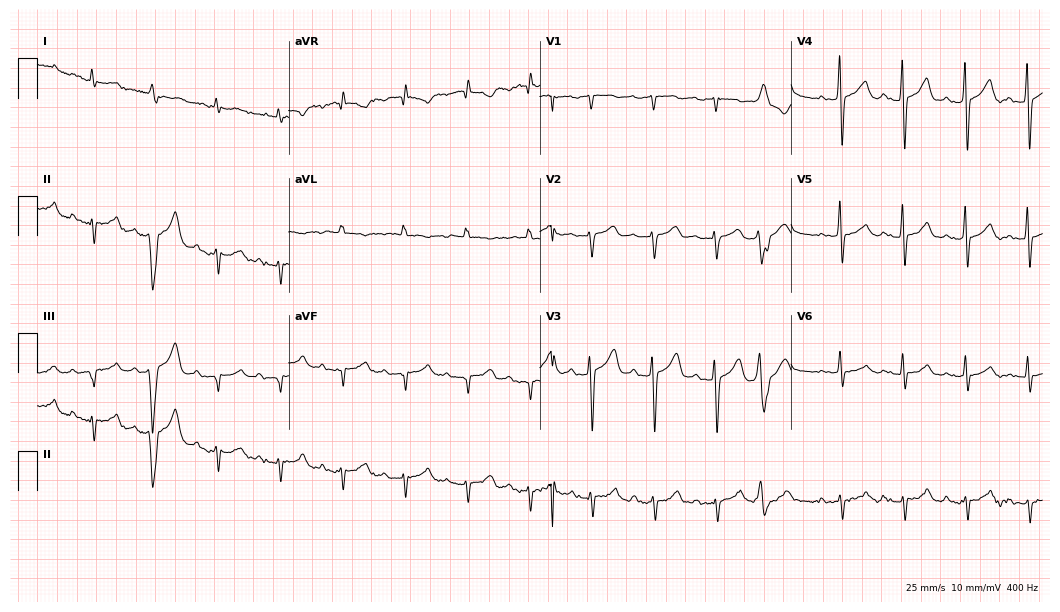
12-lead ECG from a male, 81 years old. Screened for six findings — first-degree AV block, right bundle branch block (RBBB), left bundle branch block (LBBB), sinus bradycardia, atrial fibrillation (AF), sinus tachycardia — none is recorded.